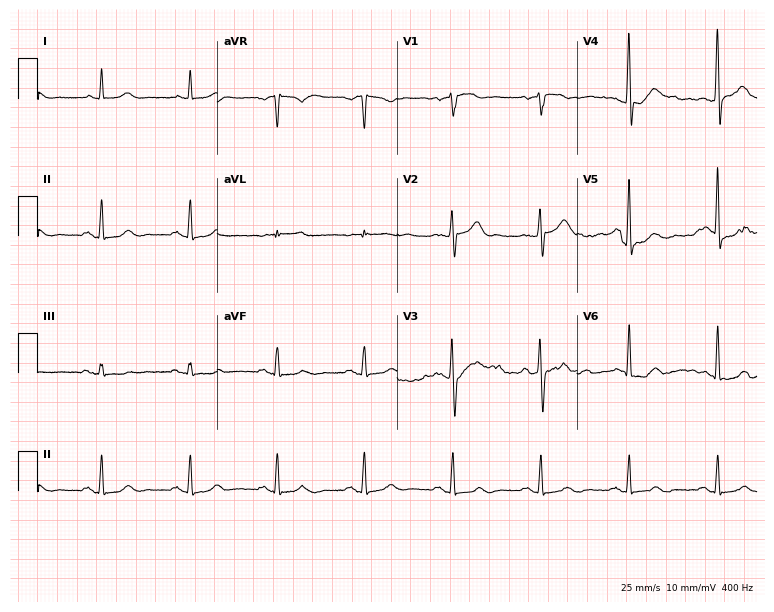
ECG (7.3-second recording at 400 Hz) — a 71-year-old man. Labelled as a normal ECG.